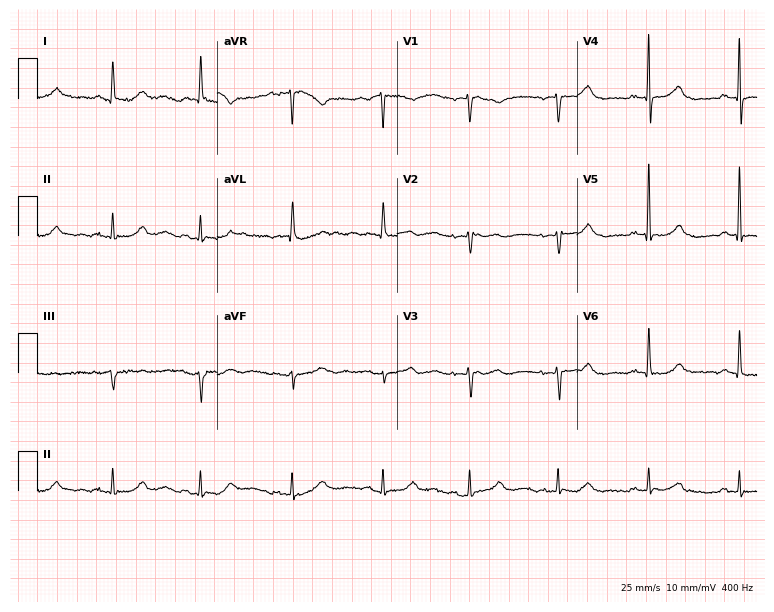
12-lead ECG (7.3-second recording at 400 Hz) from a female patient, 82 years old. Screened for six findings — first-degree AV block, right bundle branch block, left bundle branch block, sinus bradycardia, atrial fibrillation, sinus tachycardia — none is recorded. Findings outside these six are not listed.